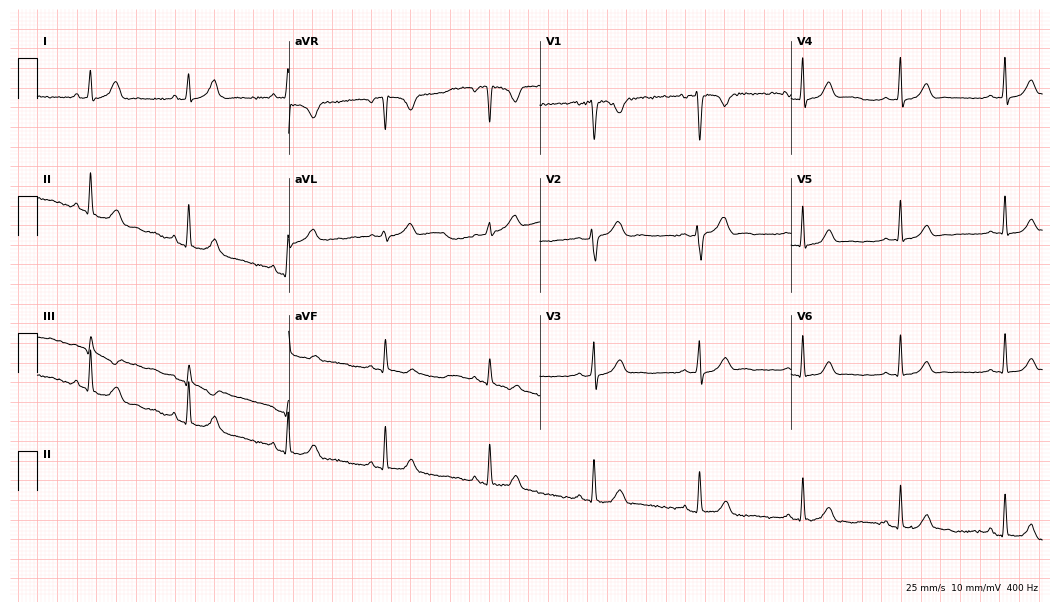
Electrocardiogram, a 32-year-old man. Overall reading on record: normal ECG.